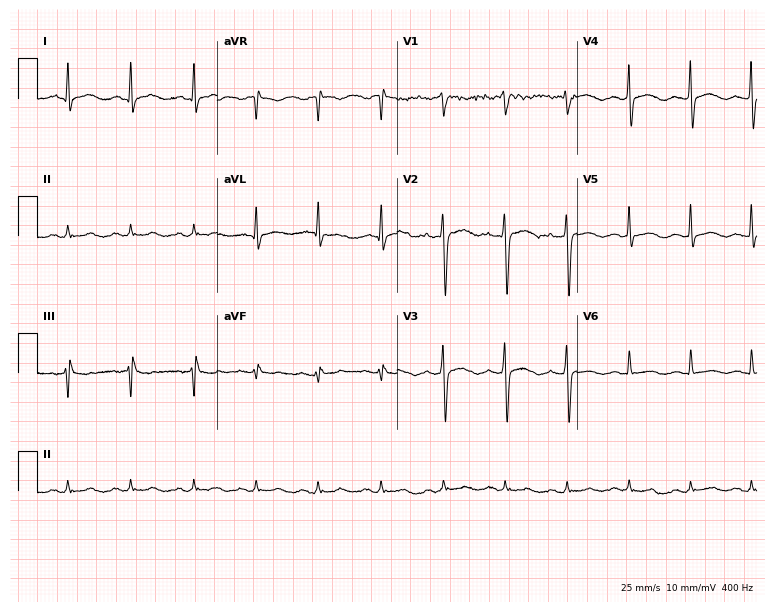
12-lead ECG from a woman, 41 years old (7.3-second recording at 400 Hz). No first-degree AV block, right bundle branch block, left bundle branch block, sinus bradycardia, atrial fibrillation or sinus tachycardia recorded for this tracing. Findings outside these six are not listed.